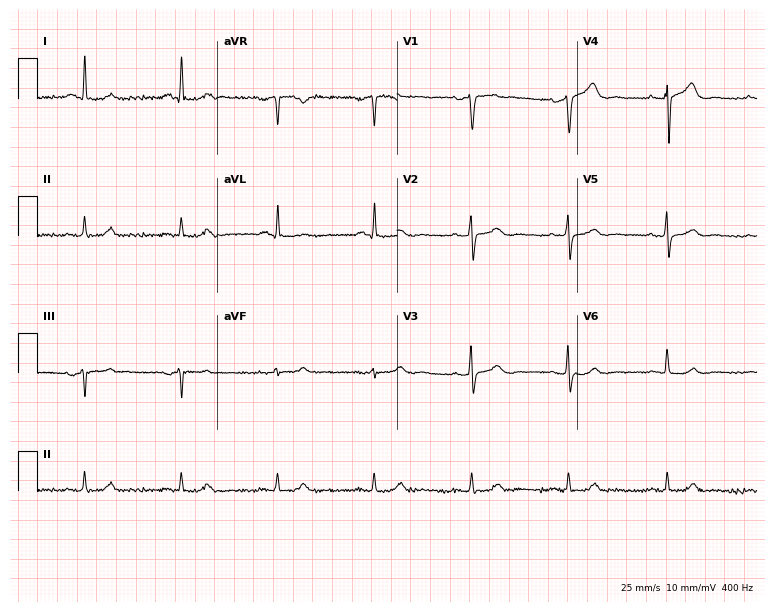
Resting 12-lead electrocardiogram (7.3-second recording at 400 Hz). Patient: a male, 80 years old. Read as a normal ECG.